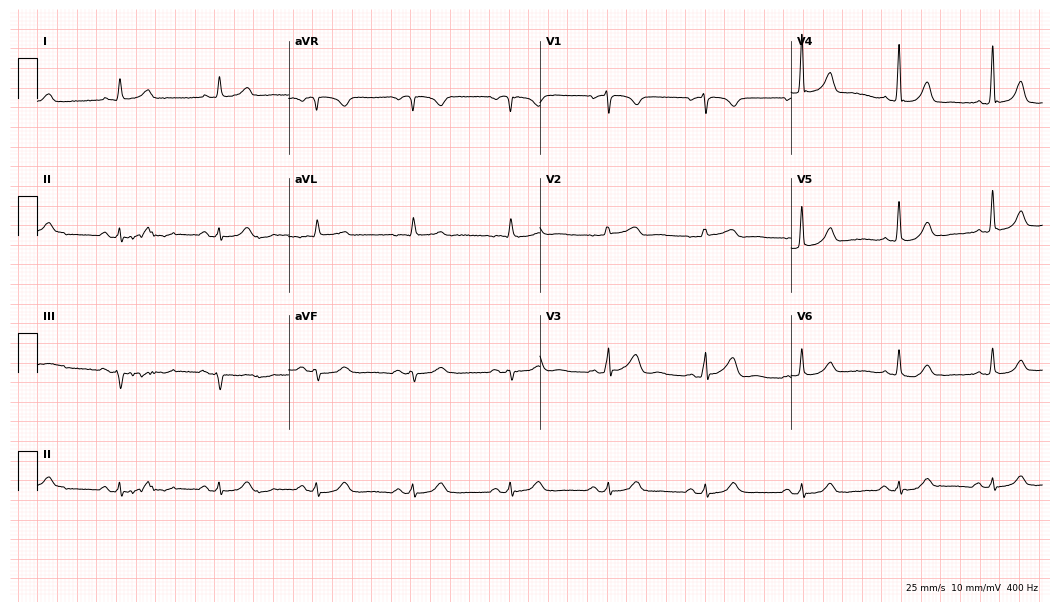
ECG (10.2-second recording at 400 Hz) — a 74-year-old female. Screened for six findings — first-degree AV block, right bundle branch block (RBBB), left bundle branch block (LBBB), sinus bradycardia, atrial fibrillation (AF), sinus tachycardia — none is recorded.